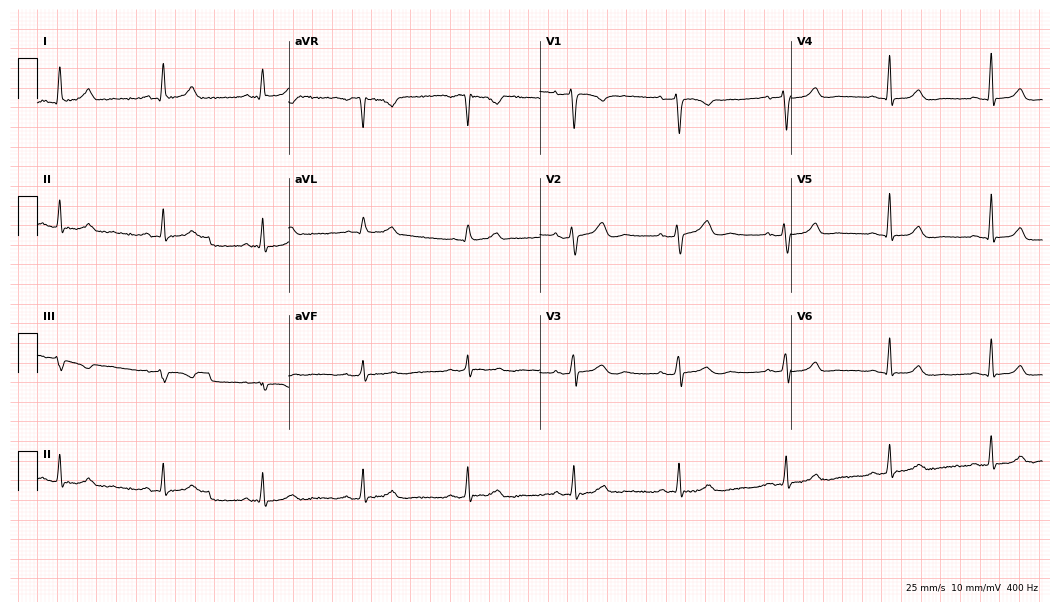
Standard 12-lead ECG recorded from a female patient, 39 years old (10.2-second recording at 400 Hz). Read as a normal ECG.